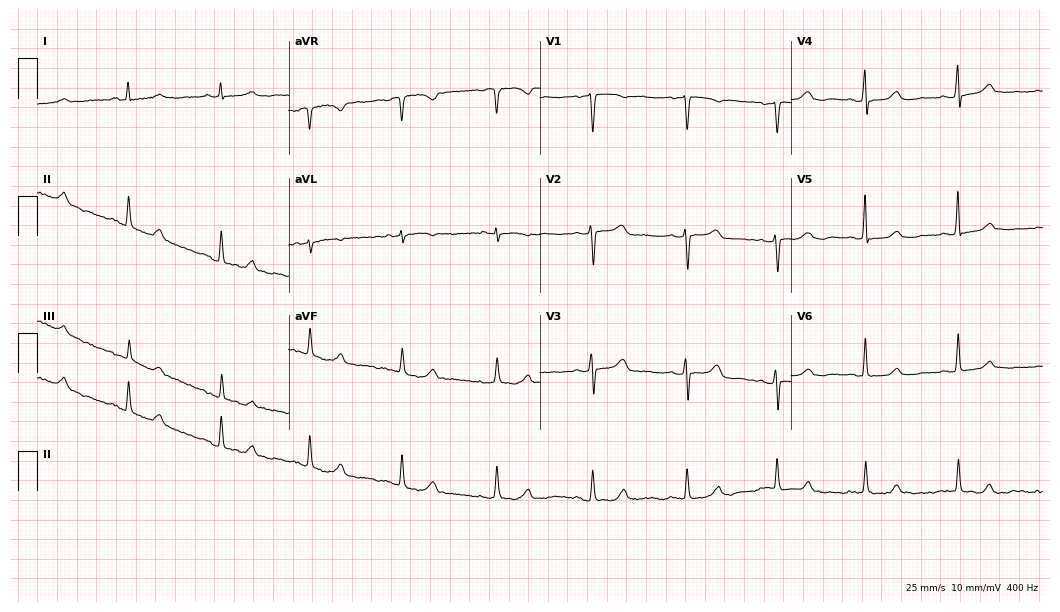
12-lead ECG from a woman, 58 years old. Labelled as a normal ECG.